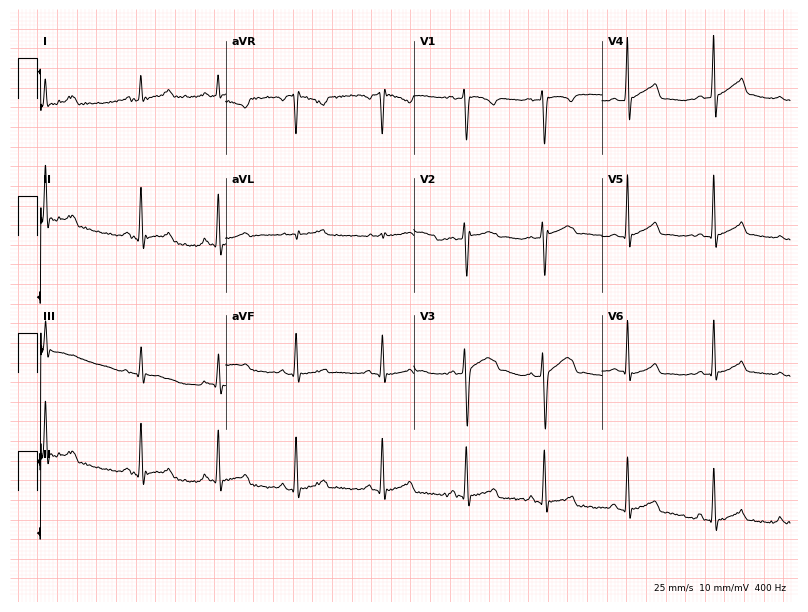
Standard 12-lead ECG recorded from a 17-year-old female patient (7.7-second recording at 400 Hz). None of these six findings is recorded: first-degree AV block, right bundle branch block (RBBB), left bundle branch block (LBBB), sinus bradycardia, atrial fibrillation (AF), sinus tachycardia. Other findings, if any, are not listed.